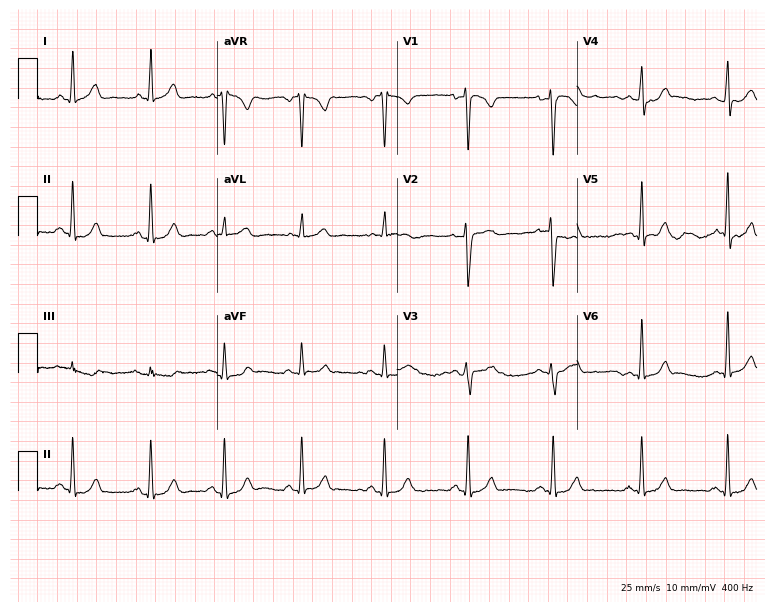
Standard 12-lead ECG recorded from a 45-year-old female patient. Read as a normal ECG.